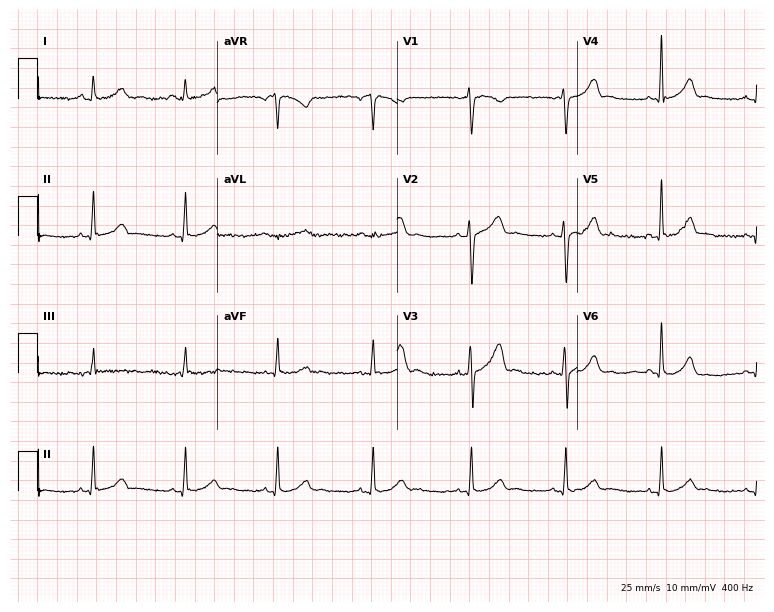
Electrocardiogram, a female patient, 41 years old. Overall reading on record: normal ECG.